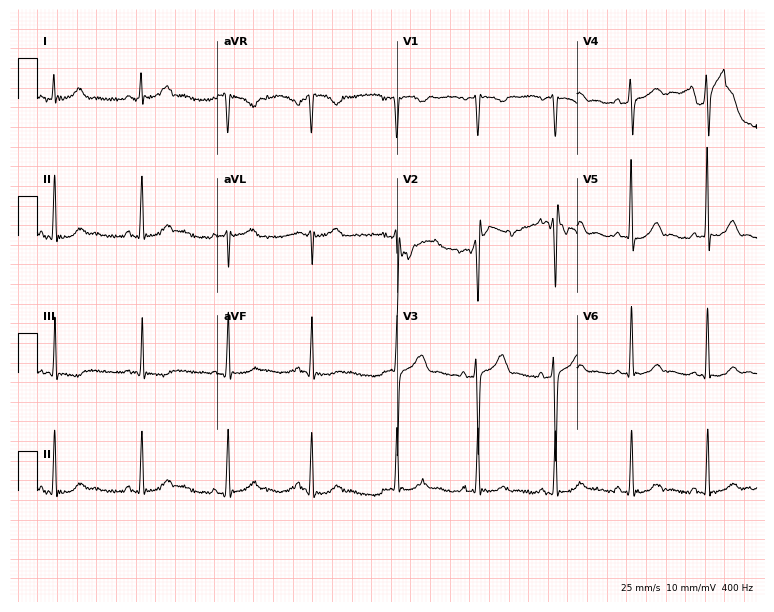
Standard 12-lead ECG recorded from a woman, 44 years old. None of these six findings is recorded: first-degree AV block, right bundle branch block (RBBB), left bundle branch block (LBBB), sinus bradycardia, atrial fibrillation (AF), sinus tachycardia.